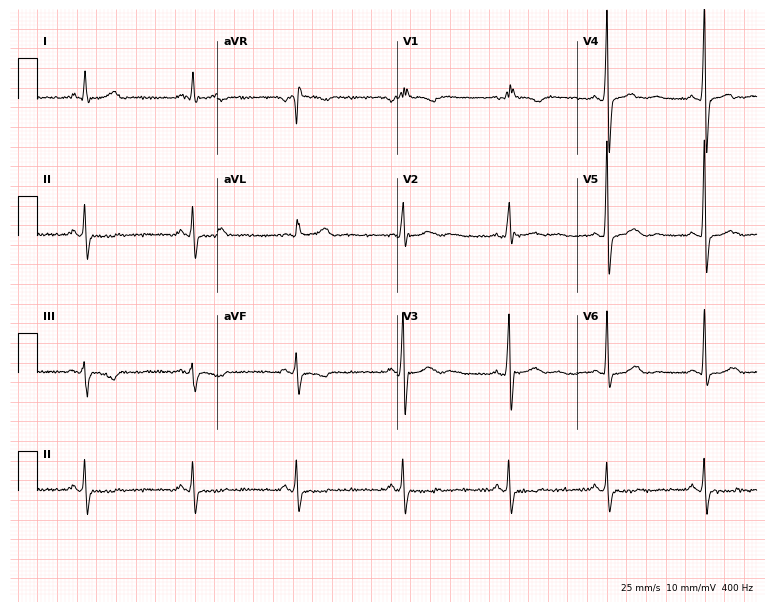
Electrocardiogram (7.3-second recording at 400 Hz), a 43-year-old male. Of the six screened findings (first-degree AV block, right bundle branch block (RBBB), left bundle branch block (LBBB), sinus bradycardia, atrial fibrillation (AF), sinus tachycardia), none is recorded. Findings outside these six are not listed.